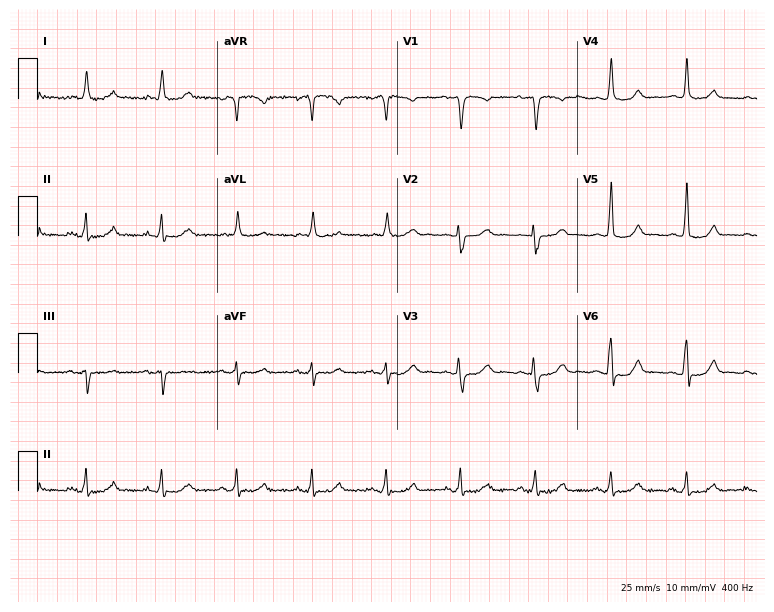
Standard 12-lead ECG recorded from a woman, 65 years old. None of these six findings is recorded: first-degree AV block, right bundle branch block, left bundle branch block, sinus bradycardia, atrial fibrillation, sinus tachycardia. Findings outside these six are not listed.